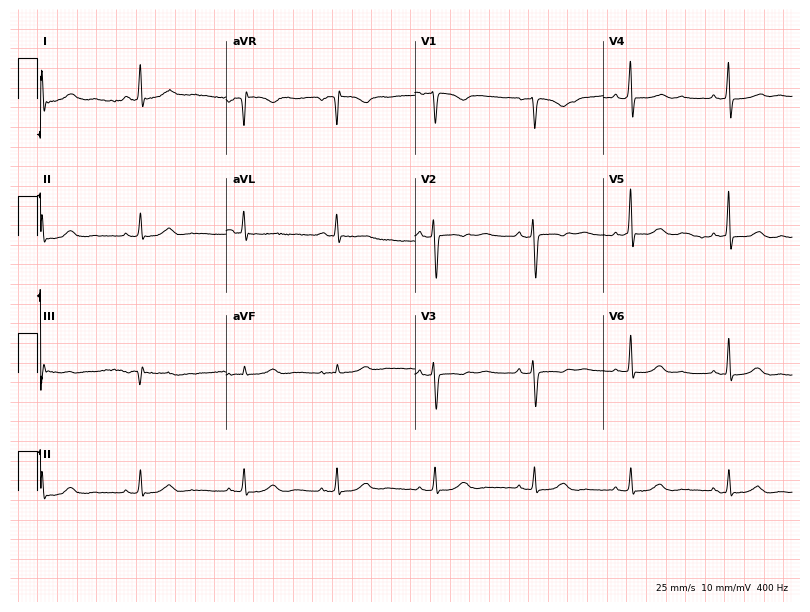
Electrocardiogram (7.7-second recording at 400 Hz), a woman, 41 years old. Of the six screened findings (first-degree AV block, right bundle branch block, left bundle branch block, sinus bradycardia, atrial fibrillation, sinus tachycardia), none is recorded.